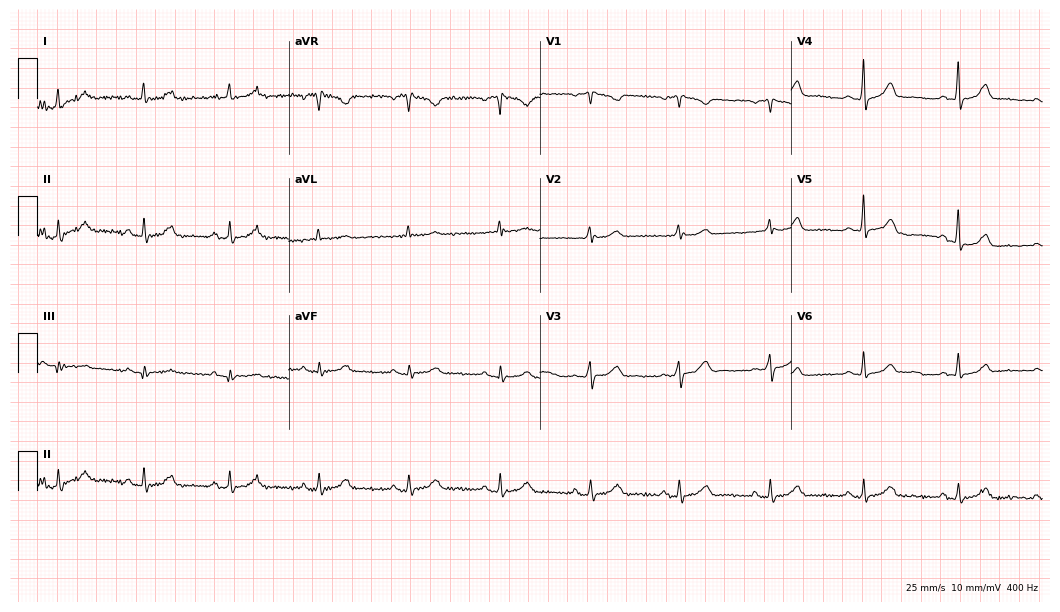
Resting 12-lead electrocardiogram (10.2-second recording at 400 Hz). Patient: a 60-year-old female. Read as a normal ECG.